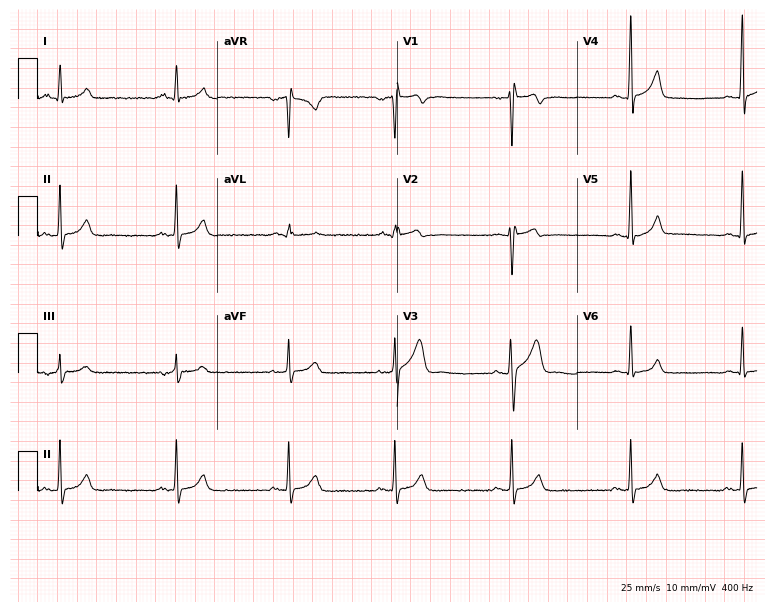
12-lead ECG from a male, 25 years old. Labelled as a normal ECG.